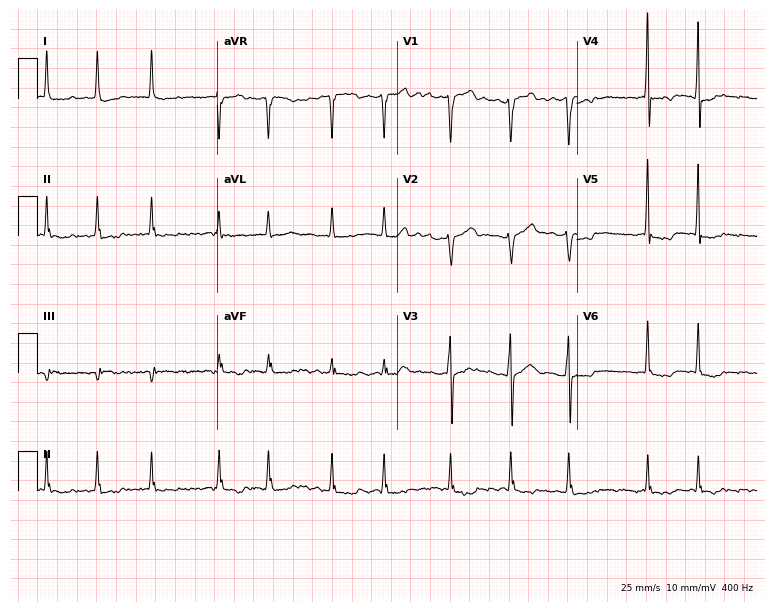
Standard 12-lead ECG recorded from a male patient, 70 years old (7.3-second recording at 400 Hz). The tracing shows atrial fibrillation.